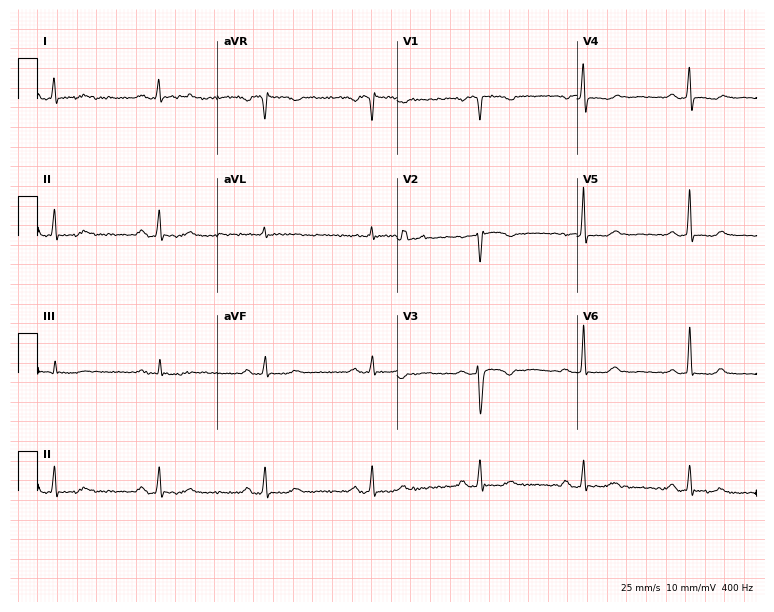
ECG — a 55-year-old female. Screened for six findings — first-degree AV block, right bundle branch block, left bundle branch block, sinus bradycardia, atrial fibrillation, sinus tachycardia — none is recorded.